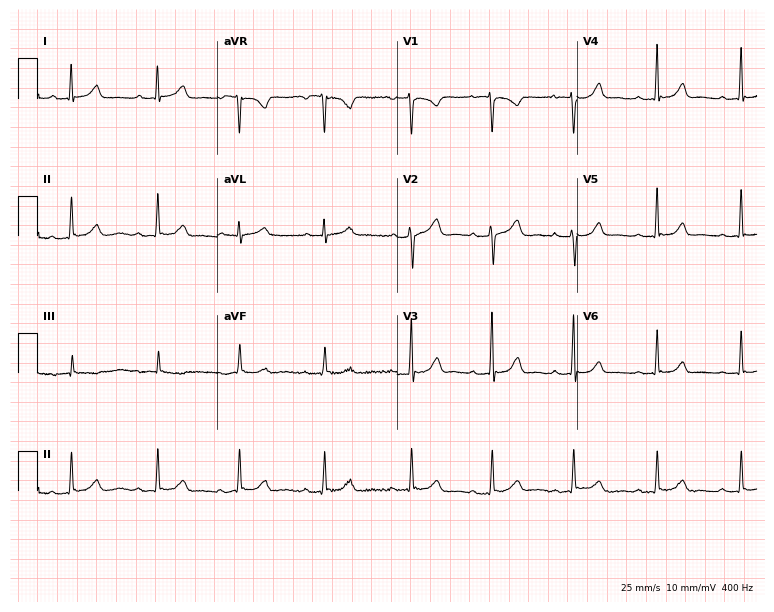
Electrocardiogram, a female, 38 years old. Overall reading on record: normal ECG.